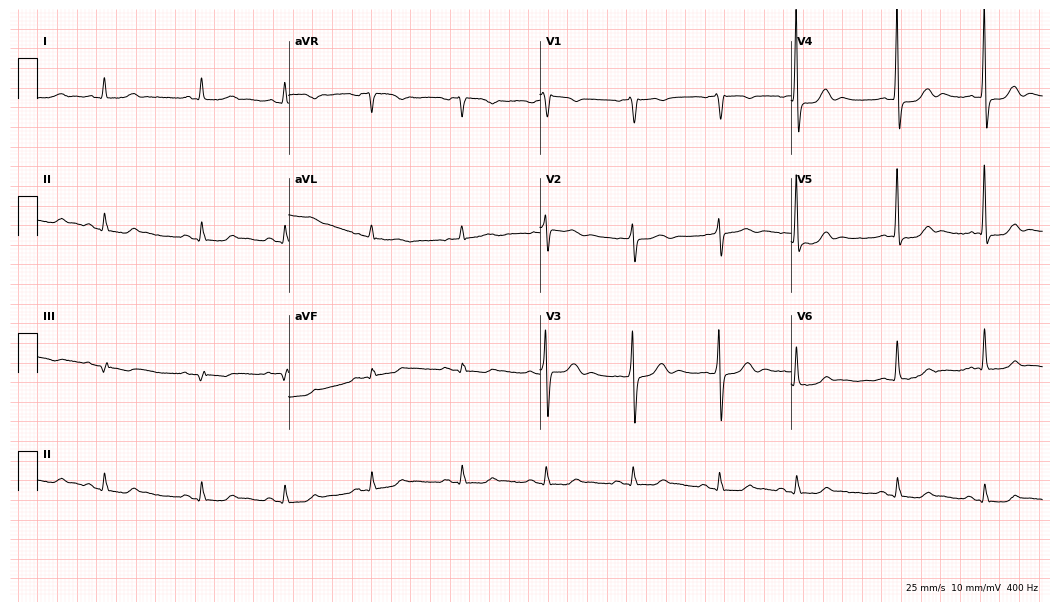
Electrocardiogram, a male, 75 years old. Of the six screened findings (first-degree AV block, right bundle branch block, left bundle branch block, sinus bradycardia, atrial fibrillation, sinus tachycardia), none is recorded.